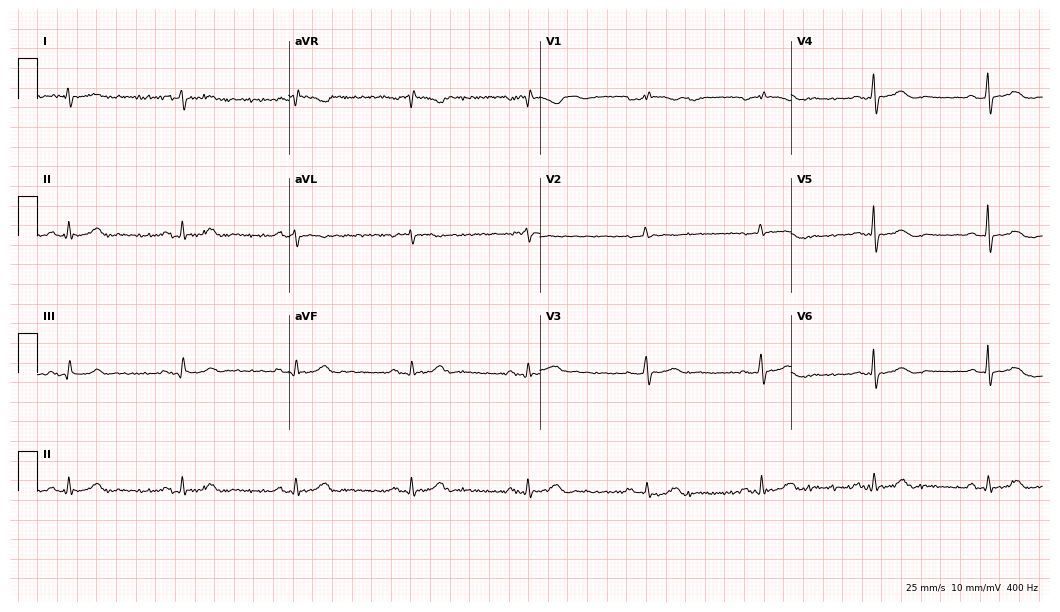
ECG (10.2-second recording at 400 Hz) — an 85-year-old male patient. Screened for six findings — first-degree AV block, right bundle branch block, left bundle branch block, sinus bradycardia, atrial fibrillation, sinus tachycardia — none is recorded.